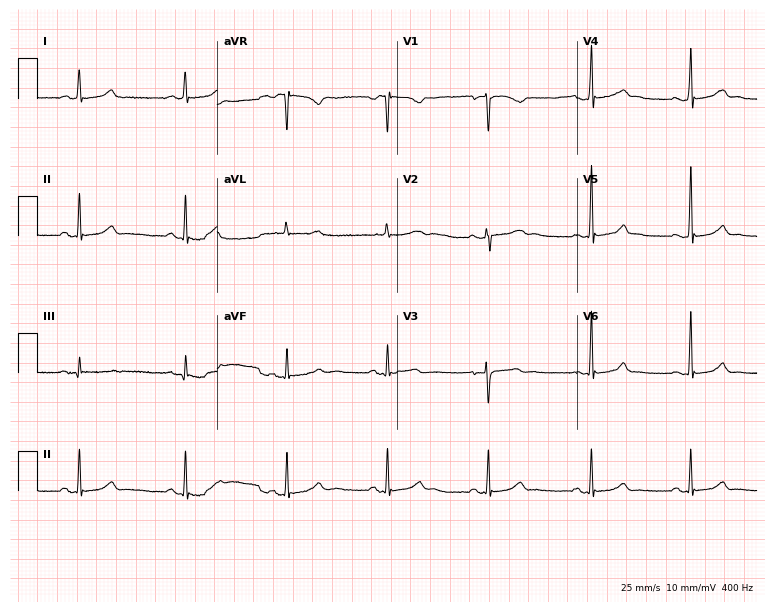
Resting 12-lead electrocardiogram (7.3-second recording at 400 Hz). Patient: a 34-year-old female. Read as a normal ECG.